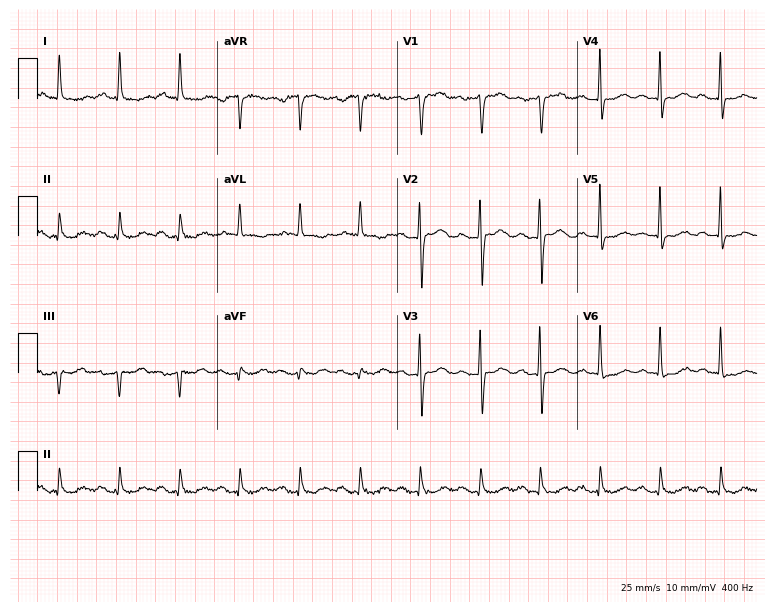
Standard 12-lead ECG recorded from a 63-year-old male patient (7.3-second recording at 400 Hz). The tracing shows first-degree AV block.